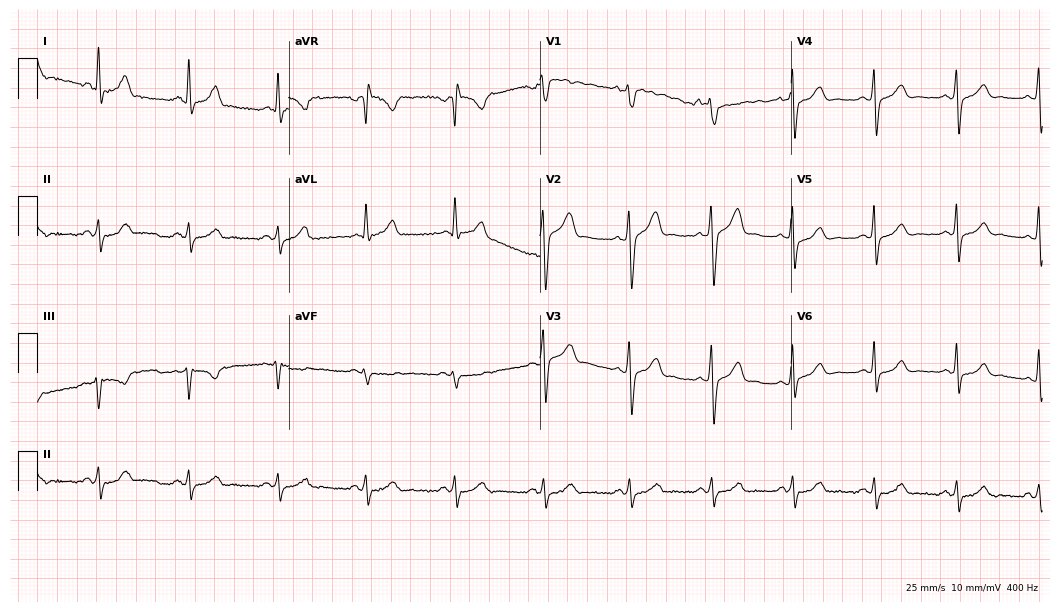
12-lead ECG (10.2-second recording at 400 Hz) from a 52-year-old male patient. Screened for six findings — first-degree AV block, right bundle branch block, left bundle branch block, sinus bradycardia, atrial fibrillation, sinus tachycardia — none is recorded.